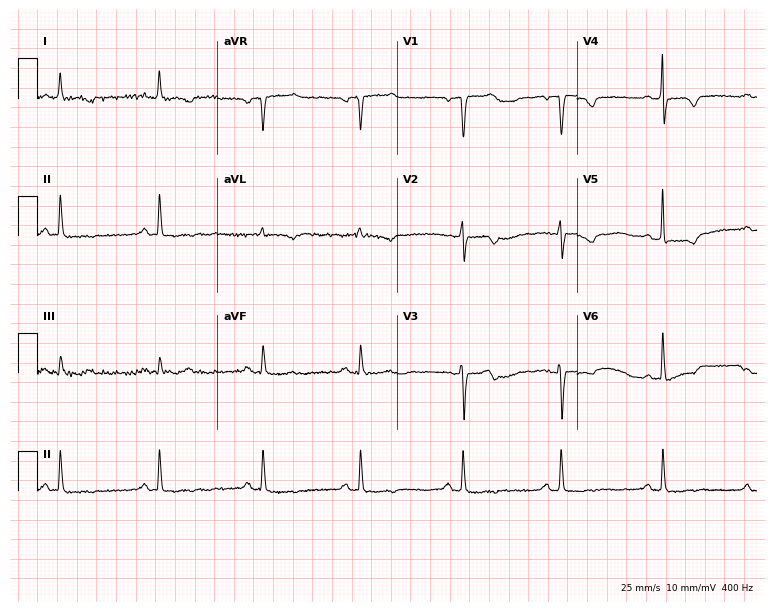
Resting 12-lead electrocardiogram. Patient: a 69-year-old woman. None of these six findings is recorded: first-degree AV block, right bundle branch block (RBBB), left bundle branch block (LBBB), sinus bradycardia, atrial fibrillation (AF), sinus tachycardia. Findings outside these six are not listed.